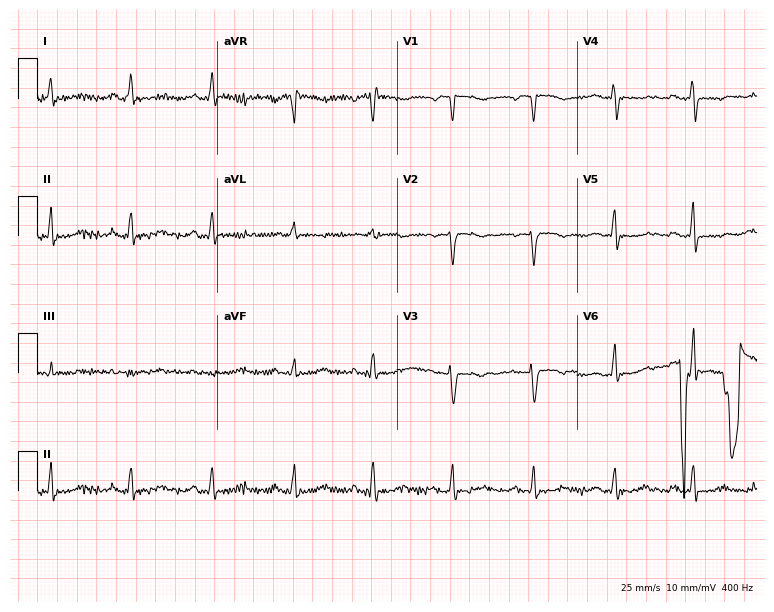
12-lead ECG from a female, 51 years old. Screened for six findings — first-degree AV block, right bundle branch block (RBBB), left bundle branch block (LBBB), sinus bradycardia, atrial fibrillation (AF), sinus tachycardia — none is recorded.